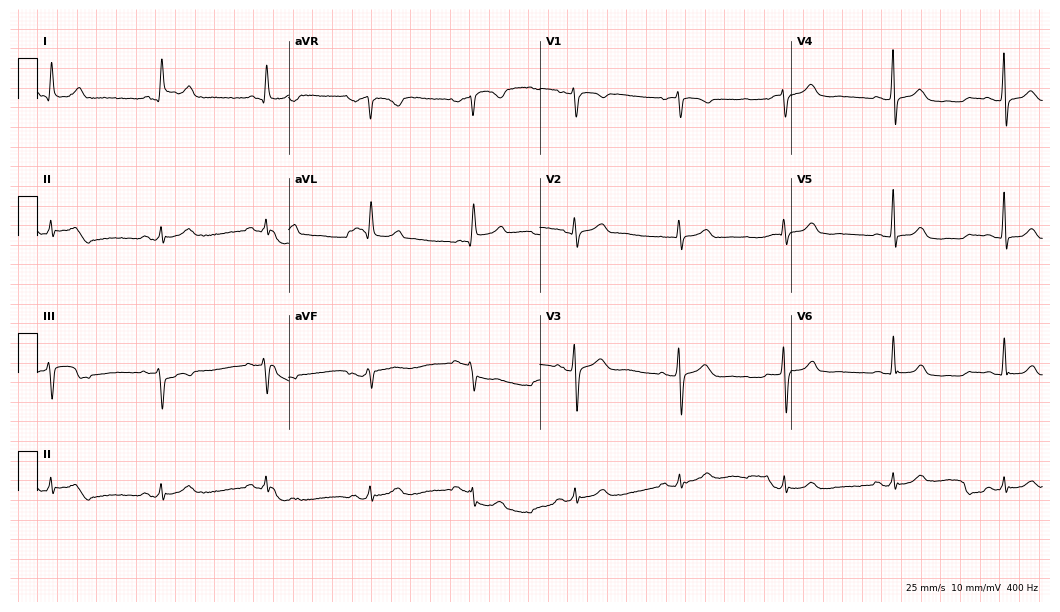
ECG (10.2-second recording at 400 Hz) — a 56-year-old woman. Labelled as a normal ECG.